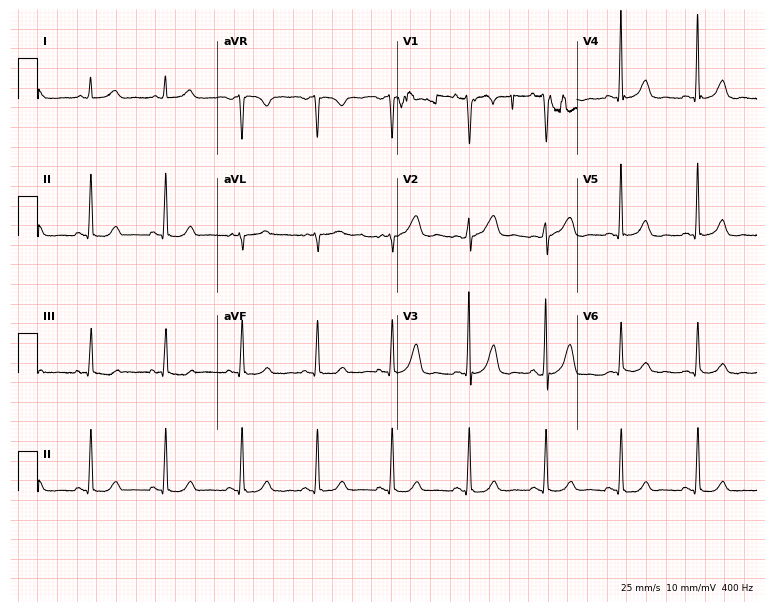
12-lead ECG (7.3-second recording at 400 Hz) from a female patient, 32 years old. Screened for six findings — first-degree AV block, right bundle branch block, left bundle branch block, sinus bradycardia, atrial fibrillation, sinus tachycardia — none is recorded. Other findings, if any, are not listed.